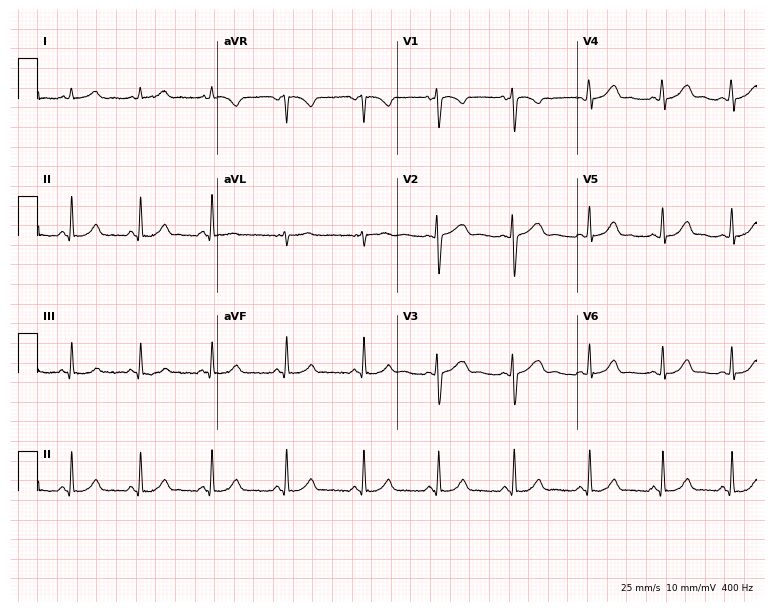
Standard 12-lead ECG recorded from a female, 17 years old (7.3-second recording at 400 Hz). Read as a normal ECG.